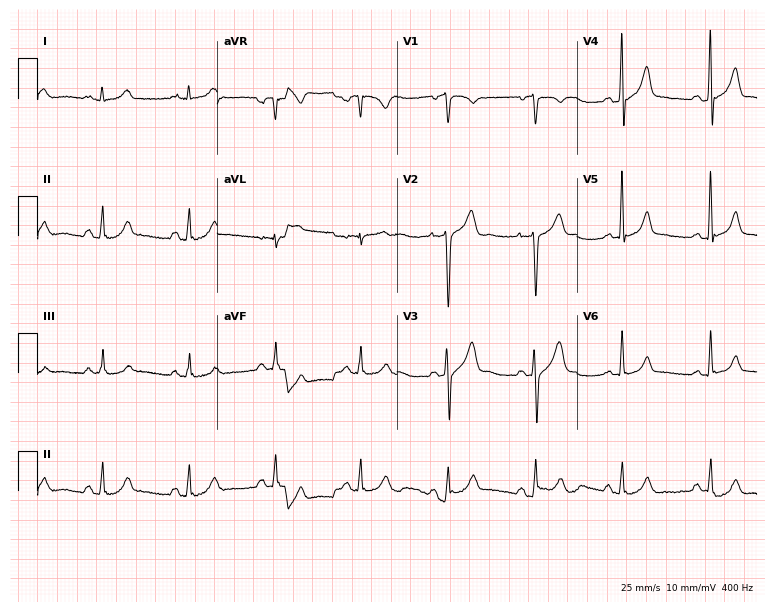
ECG (7.3-second recording at 400 Hz) — a 38-year-old male. Labelled as a normal ECG.